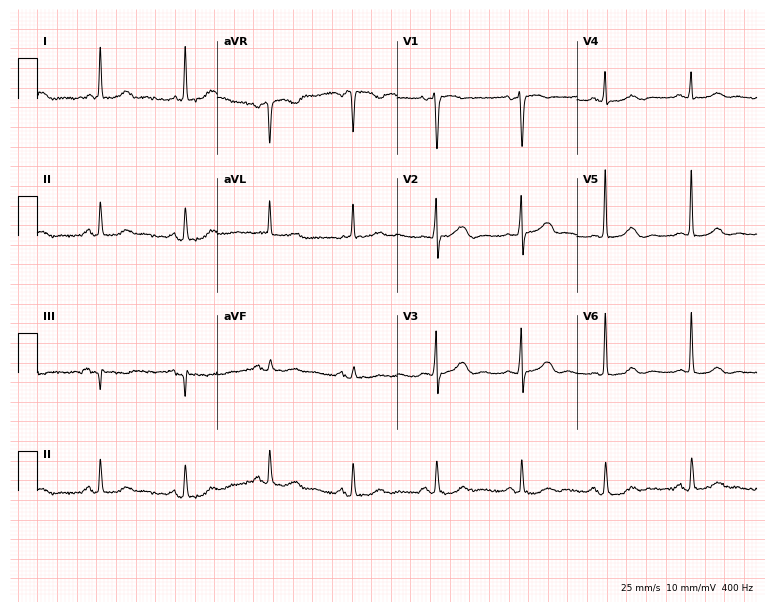
ECG (7.3-second recording at 400 Hz) — a female, 75 years old. Screened for six findings — first-degree AV block, right bundle branch block (RBBB), left bundle branch block (LBBB), sinus bradycardia, atrial fibrillation (AF), sinus tachycardia — none is recorded.